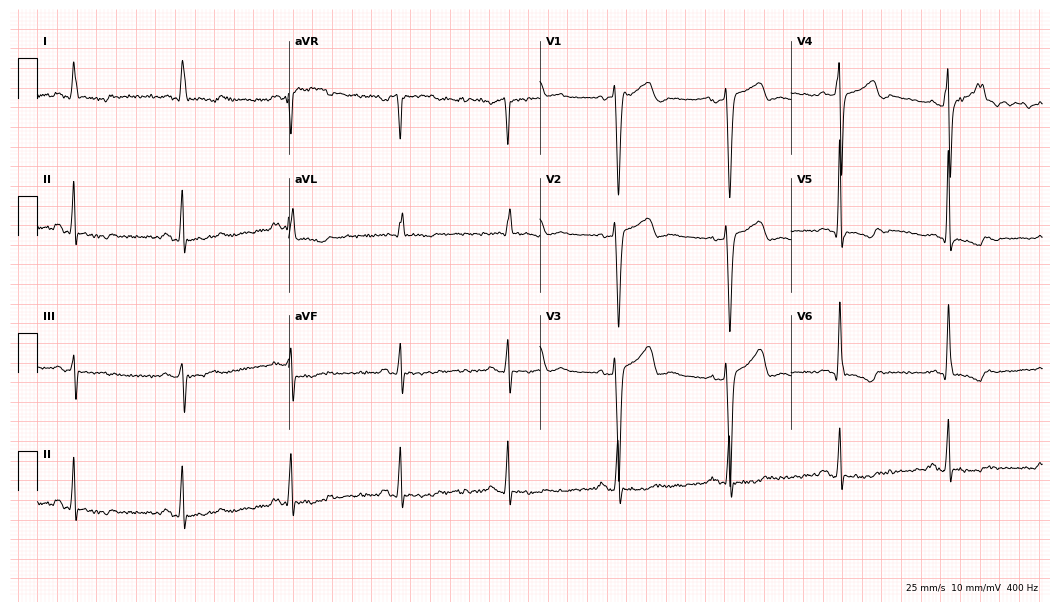
Electrocardiogram (10.2-second recording at 400 Hz), a 50-year-old male patient. Of the six screened findings (first-degree AV block, right bundle branch block (RBBB), left bundle branch block (LBBB), sinus bradycardia, atrial fibrillation (AF), sinus tachycardia), none is recorded.